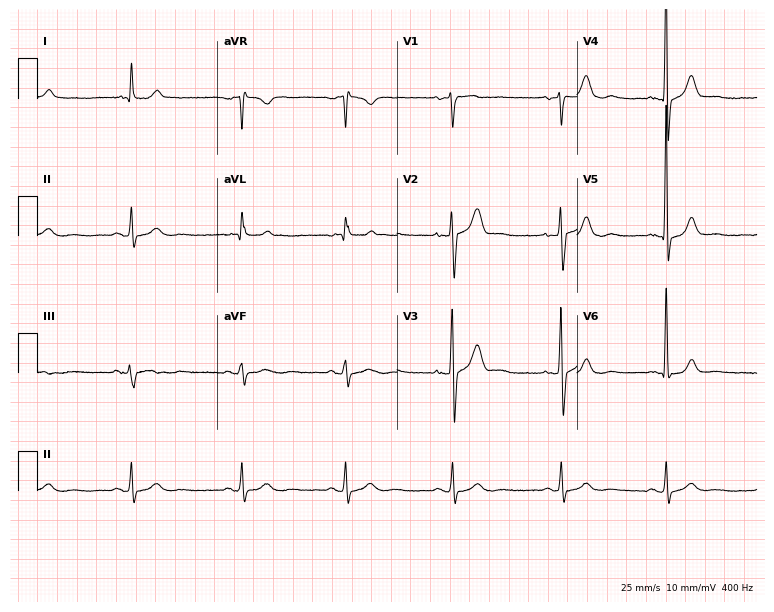
ECG (7.3-second recording at 400 Hz) — a male patient, 62 years old. Screened for six findings — first-degree AV block, right bundle branch block (RBBB), left bundle branch block (LBBB), sinus bradycardia, atrial fibrillation (AF), sinus tachycardia — none is recorded.